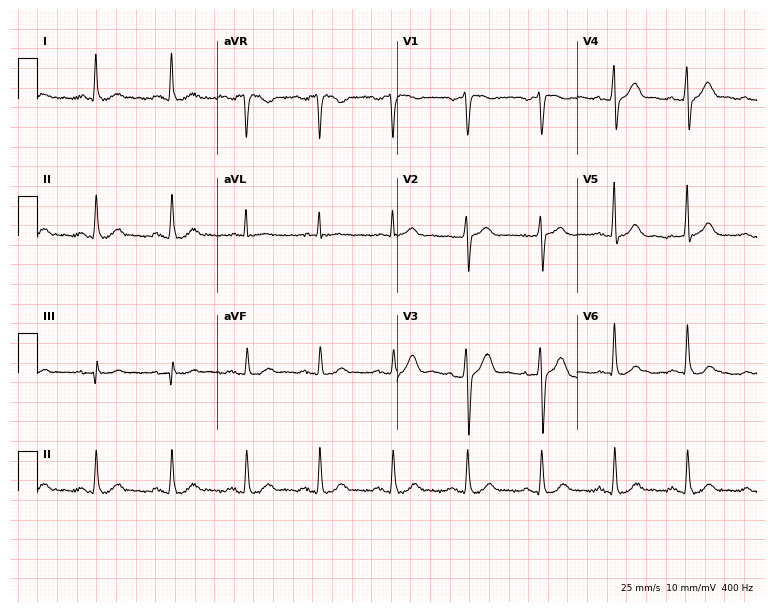
Resting 12-lead electrocardiogram. Patient: a female, 44 years old. Read as a normal ECG.